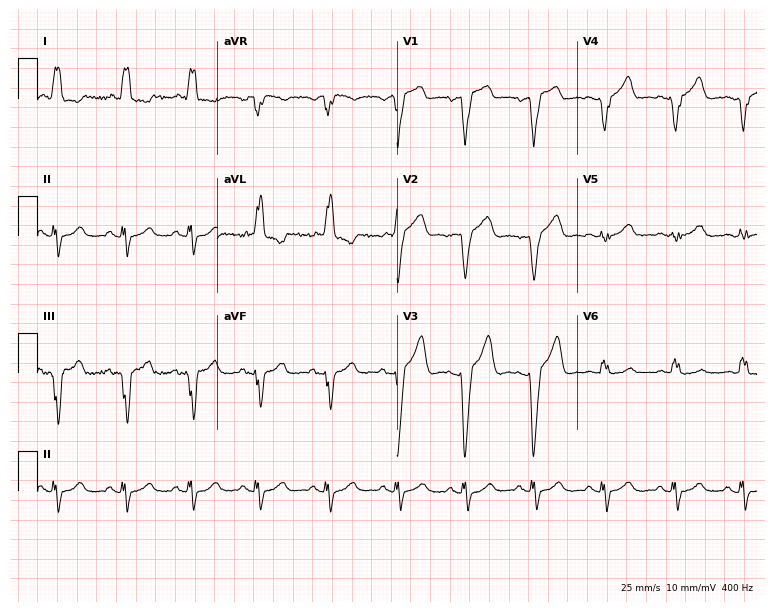
ECG (7.3-second recording at 400 Hz) — a female patient, 75 years old. Findings include left bundle branch block (LBBB).